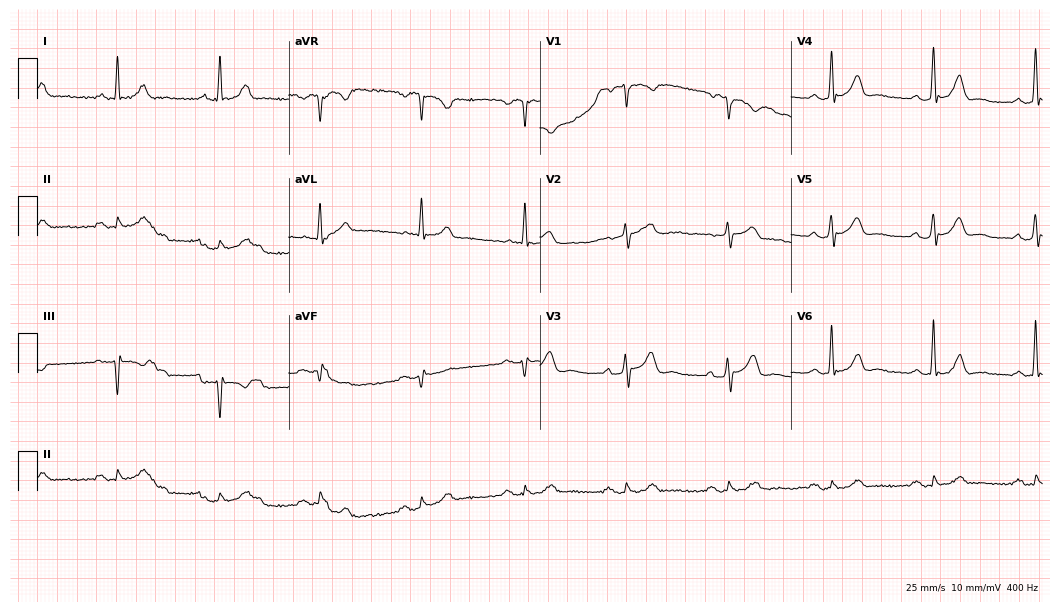
ECG — a male patient, 82 years old. Screened for six findings — first-degree AV block, right bundle branch block, left bundle branch block, sinus bradycardia, atrial fibrillation, sinus tachycardia — none is recorded. Findings outside these six are not listed.